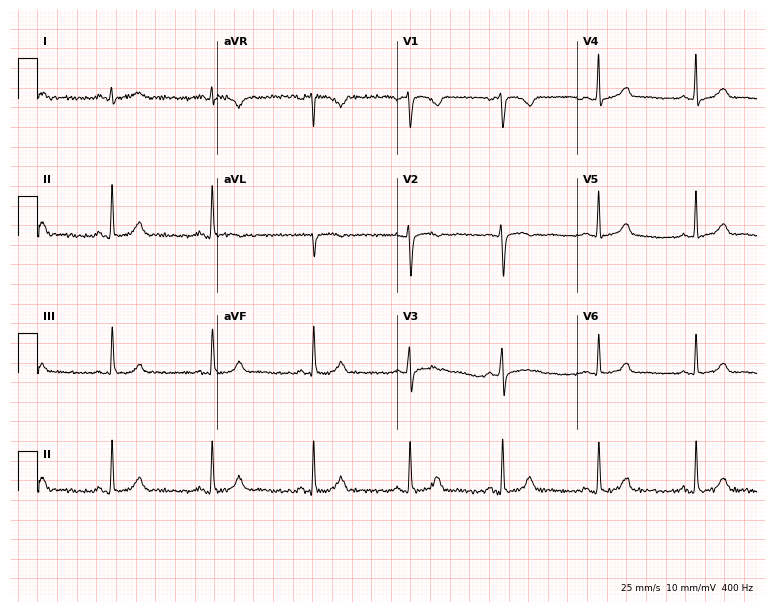
Resting 12-lead electrocardiogram (7.3-second recording at 400 Hz). Patient: a 26-year-old female. None of these six findings is recorded: first-degree AV block, right bundle branch block, left bundle branch block, sinus bradycardia, atrial fibrillation, sinus tachycardia. Findings outside these six are not listed.